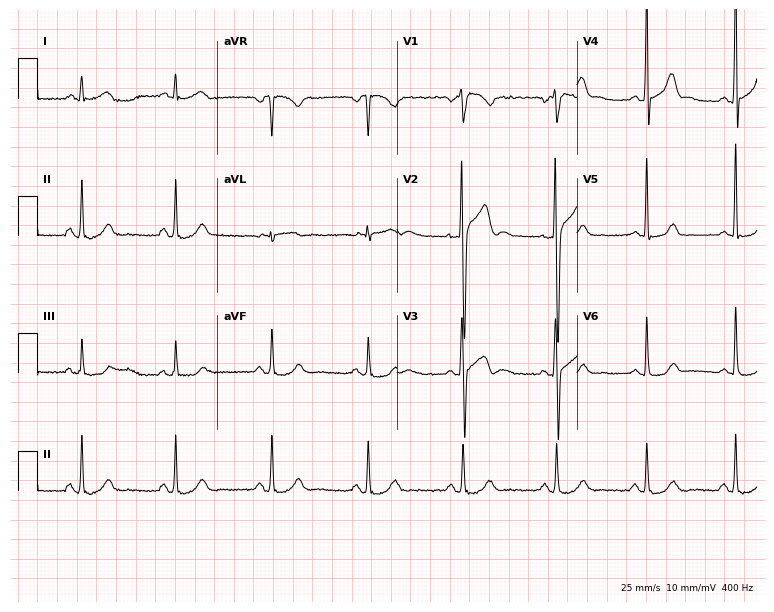
12-lead ECG from a man, 55 years old (7.3-second recording at 400 Hz). No first-degree AV block, right bundle branch block, left bundle branch block, sinus bradycardia, atrial fibrillation or sinus tachycardia recorded for this tracing.